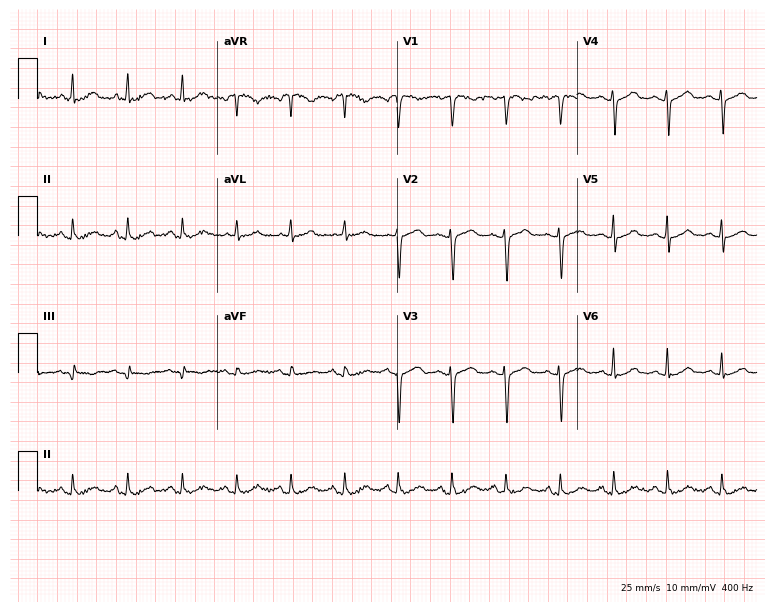
Standard 12-lead ECG recorded from a 40-year-old female (7.3-second recording at 400 Hz). None of these six findings is recorded: first-degree AV block, right bundle branch block, left bundle branch block, sinus bradycardia, atrial fibrillation, sinus tachycardia. Findings outside these six are not listed.